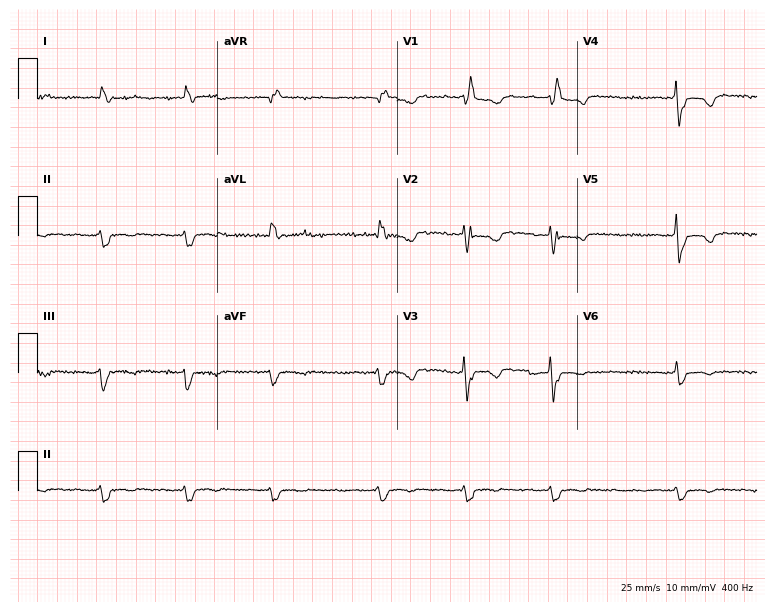
12-lead ECG from a 72-year-old female patient. Findings include right bundle branch block, atrial fibrillation.